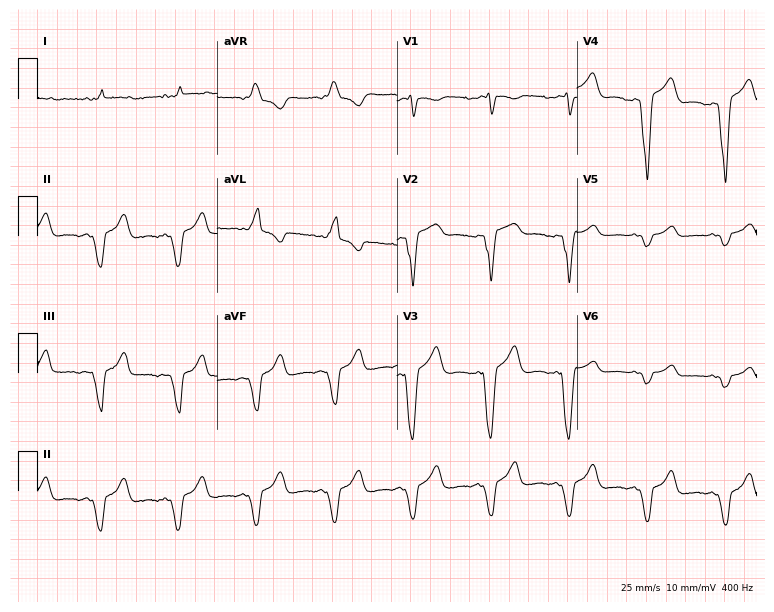
12-lead ECG from a 61-year-old female patient (7.3-second recording at 400 Hz). No first-degree AV block, right bundle branch block (RBBB), left bundle branch block (LBBB), sinus bradycardia, atrial fibrillation (AF) or sinus tachycardia recorded for this tracing.